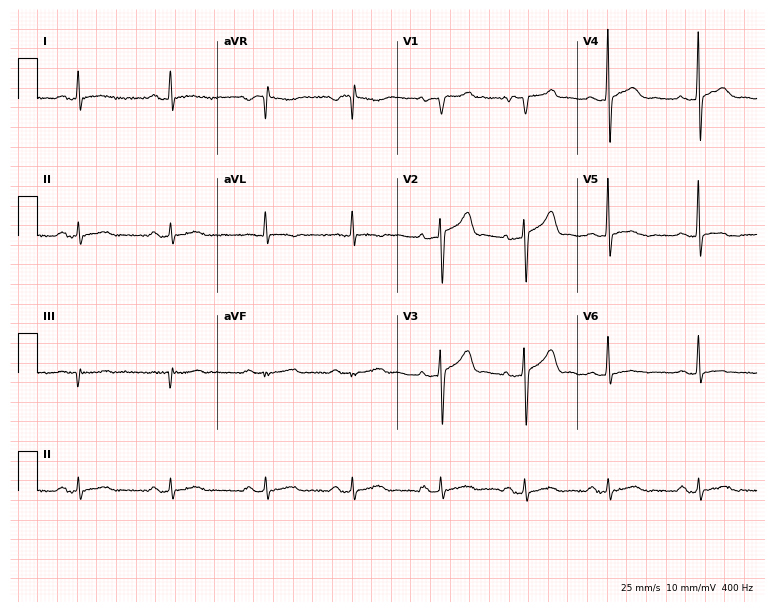
Resting 12-lead electrocardiogram (7.3-second recording at 400 Hz). Patient: a male, 38 years old. None of these six findings is recorded: first-degree AV block, right bundle branch block, left bundle branch block, sinus bradycardia, atrial fibrillation, sinus tachycardia. Only these six findings were labelled.